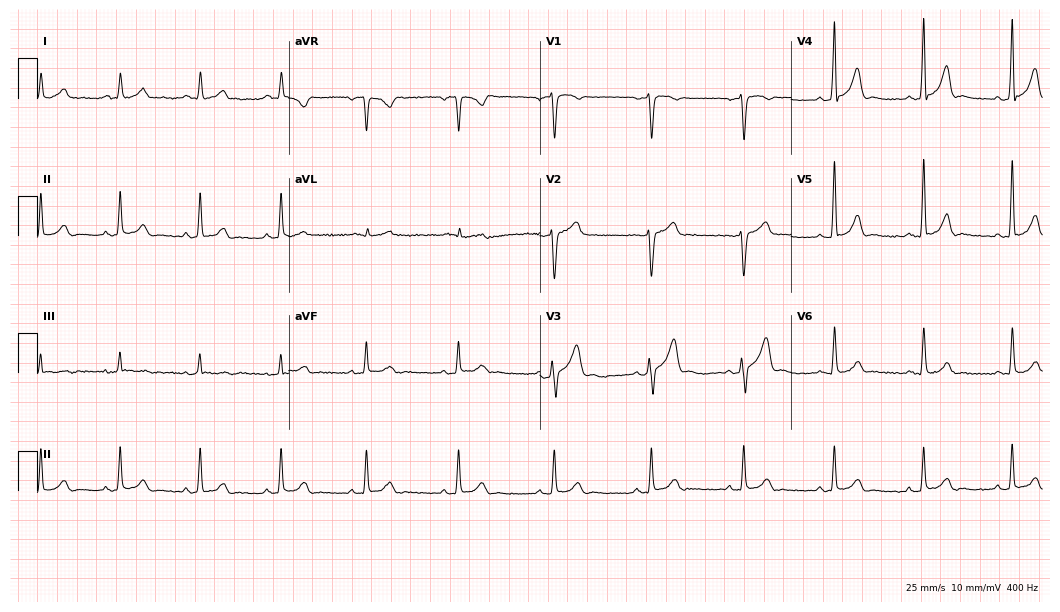
Standard 12-lead ECG recorded from a man, 55 years old (10.2-second recording at 400 Hz). Read as a normal ECG.